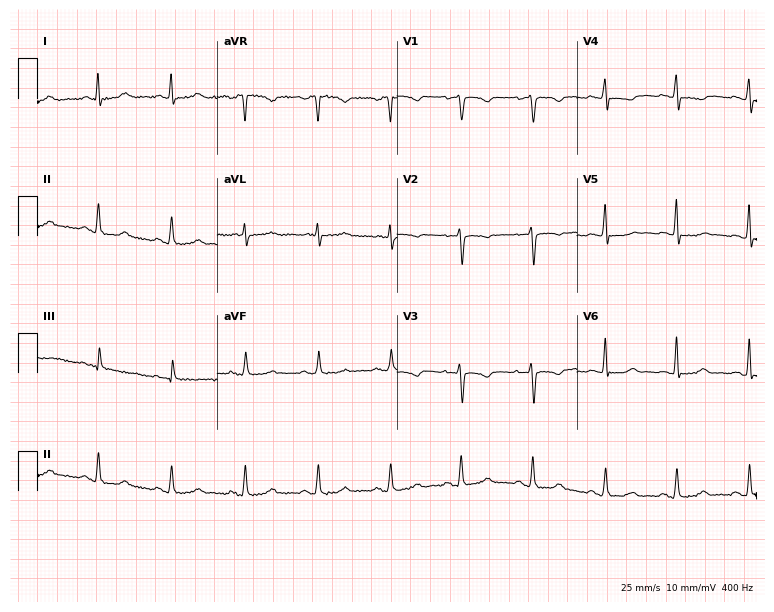
Standard 12-lead ECG recorded from a female, 46 years old (7.3-second recording at 400 Hz). None of these six findings is recorded: first-degree AV block, right bundle branch block, left bundle branch block, sinus bradycardia, atrial fibrillation, sinus tachycardia.